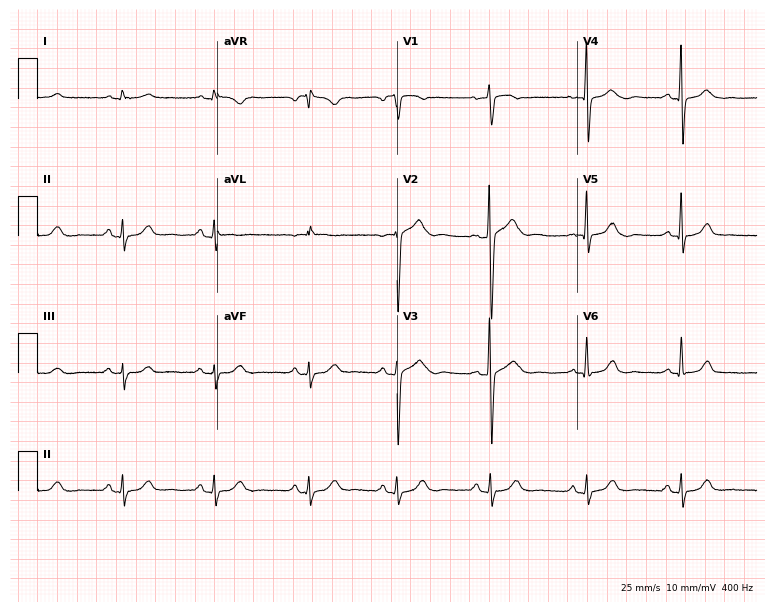
12-lead ECG from a woman, 69 years old. Labelled as a normal ECG.